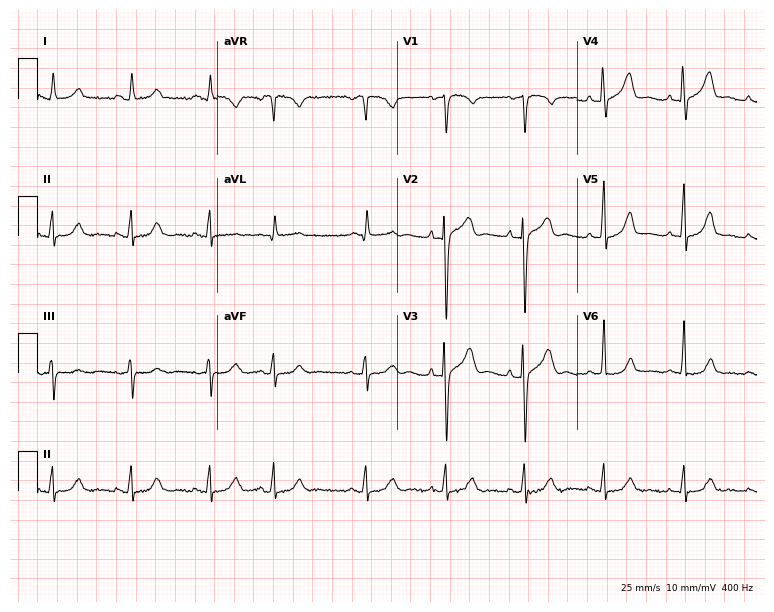
12-lead ECG (7.3-second recording at 400 Hz) from a 70-year-old female. Labelled as a normal ECG.